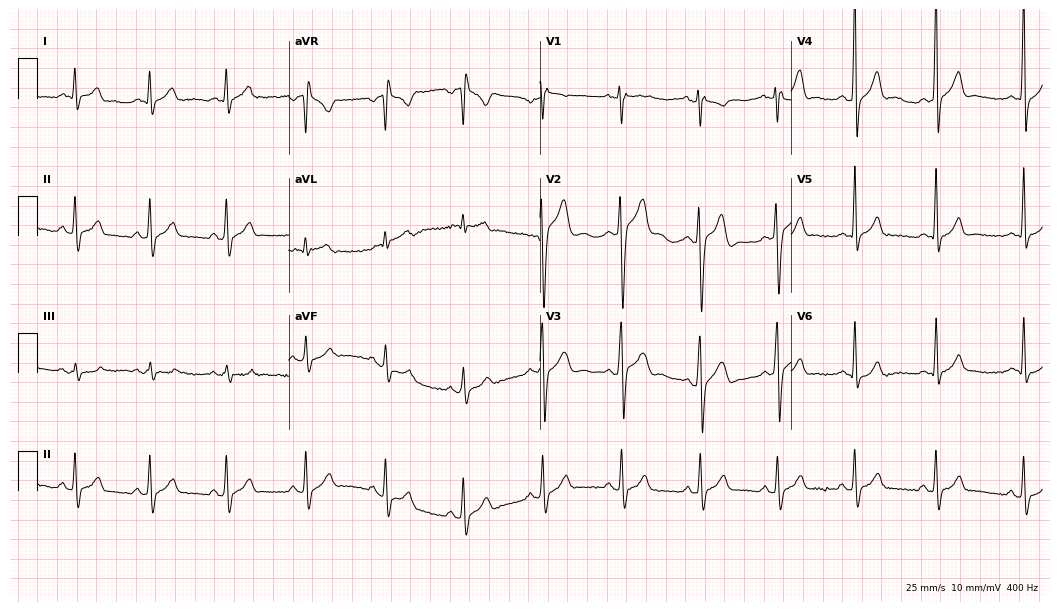
12-lead ECG from a man, 19 years old (10.2-second recording at 400 Hz). No first-degree AV block, right bundle branch block (RBBB), left bundle branch block (LBBB), sinus bradycardia, atrial fibrillation (AF) or sinus tachycardia recorded for this tracing. Only these six findings were labelled.